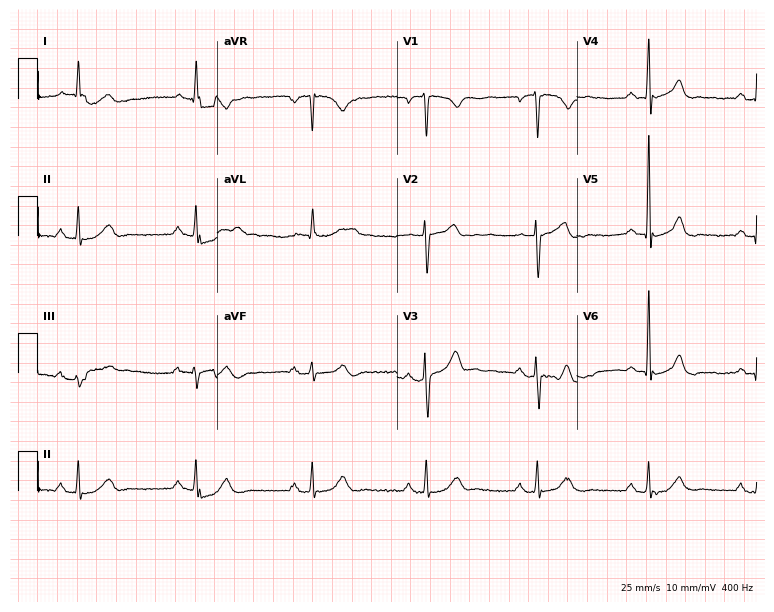
Resting 12-lead electrocardiogram (7.3-second recording at 400 Hz). Patient: a 55-year-old male. Read as a normal ECG.